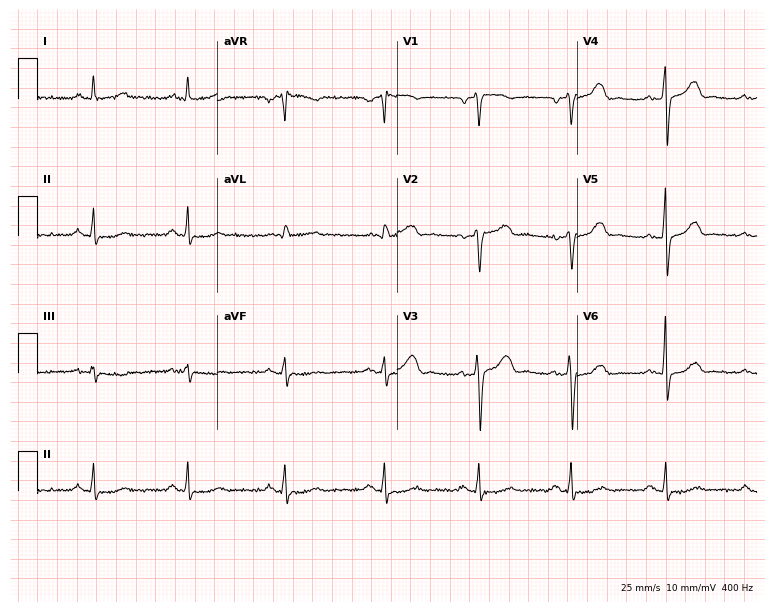
12-lead ECG from a 48-year-old male. No first-degree AV block, right bundle branch block, left bundle branch block, sinus bradycardia, atrial fibrillation or sinus tachycardia recorded for this tracing. Only these six findings were labelled.